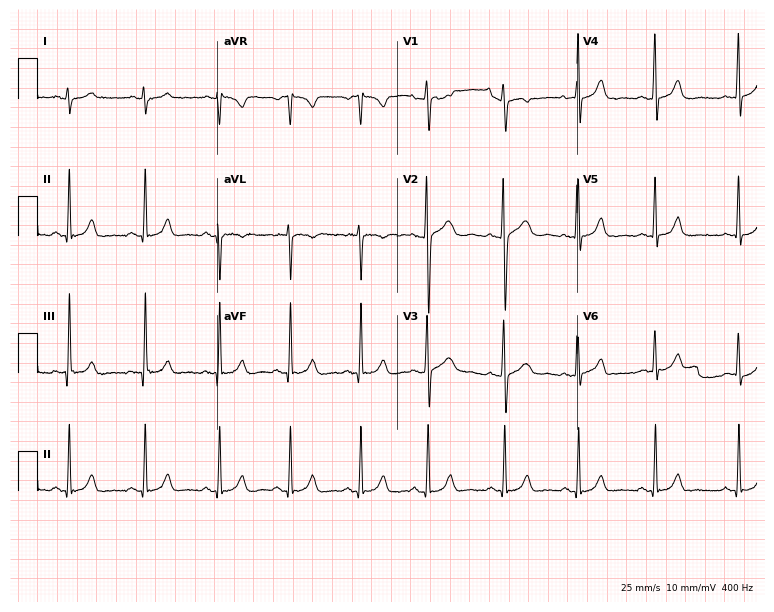
Electrocardiogram, a female, 23 years old. Of the six screened findings (first-degree AV block, right bundle branch block, left bundle branch block, sinus bradycardia, atrial fibrillation, sinus tachycardia), none is recorded.